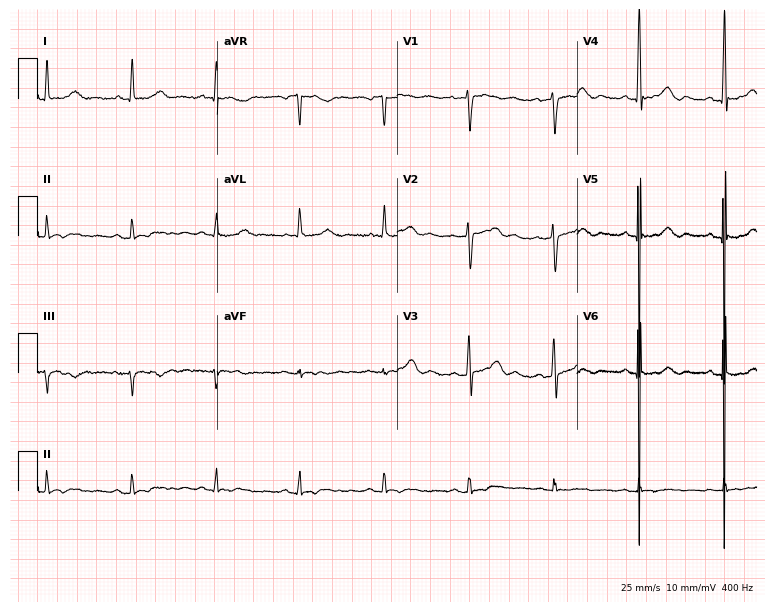
ECG — a female patient, 65 years old. Screened for six findings — first-degree AV block, right bundle branch block (RBBB), left bundle branch block (LBBB), sinus bradycardia, atrial fibrillation (AF), sinus tachycardia — none is recorded. Only these six findings were labelled.